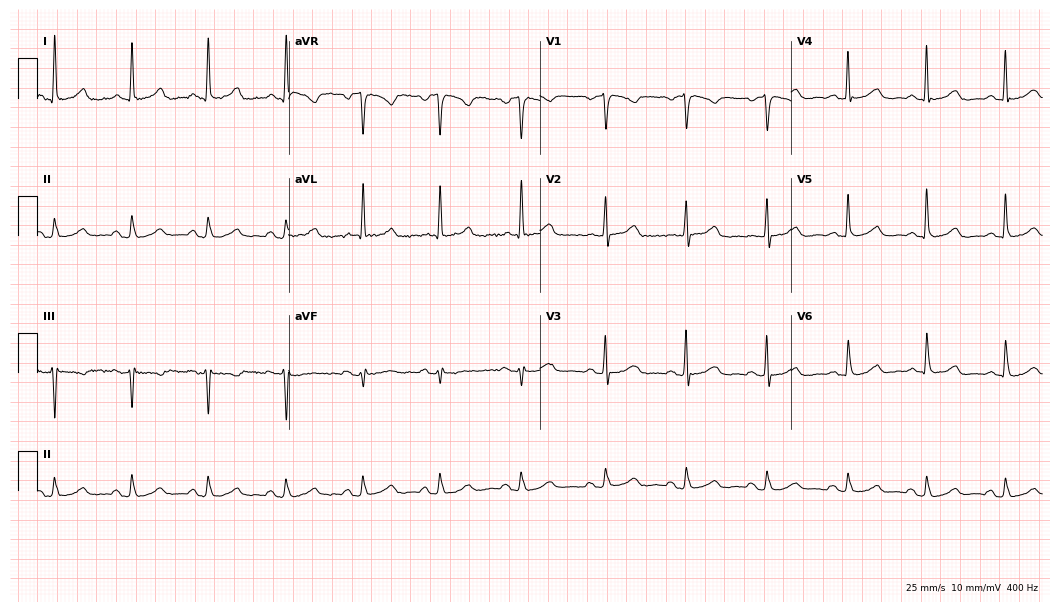
12-lead ECG from a 79-year-old female. No first-degree AV block, right bundle branch block, left bundle branch block, sinus bradycardia, atrial fibrillation or sinus tachycardia recorded for this tracing.